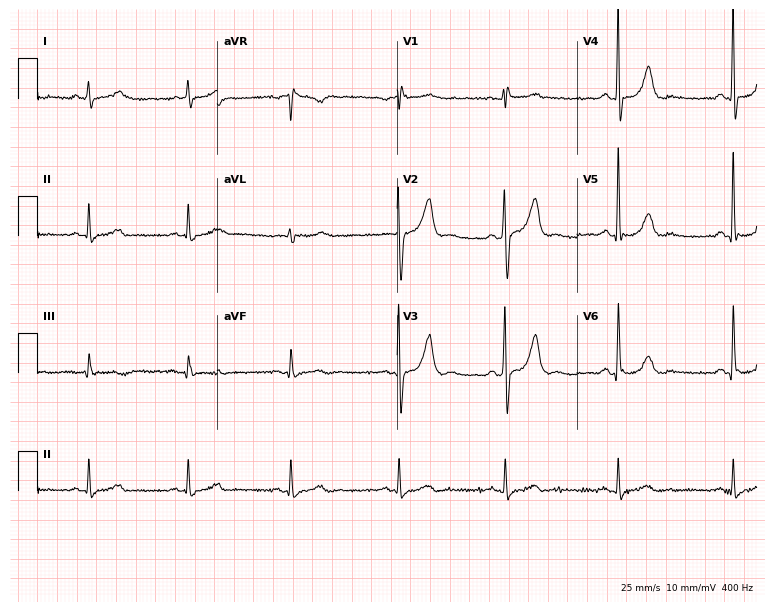
ECG — a 72-year-old male patient. Screened for six findings — first-degree AV block, right bundle branch block, left bundle branch block, sinus bradycardia, atrial fibrillation, sinus tachycardia — none is recorded.